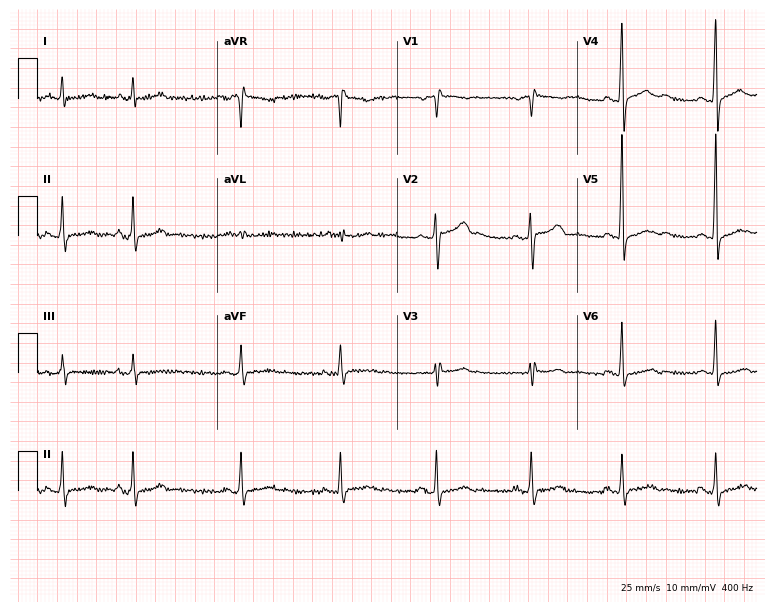
12-lead ECG from a 51-year-old man. No first-degree AV block, right bundle branch block, left bundle branch block, sinus bradycardia, atrial fibrillation or sinus tachycardia recorded for this tracing.